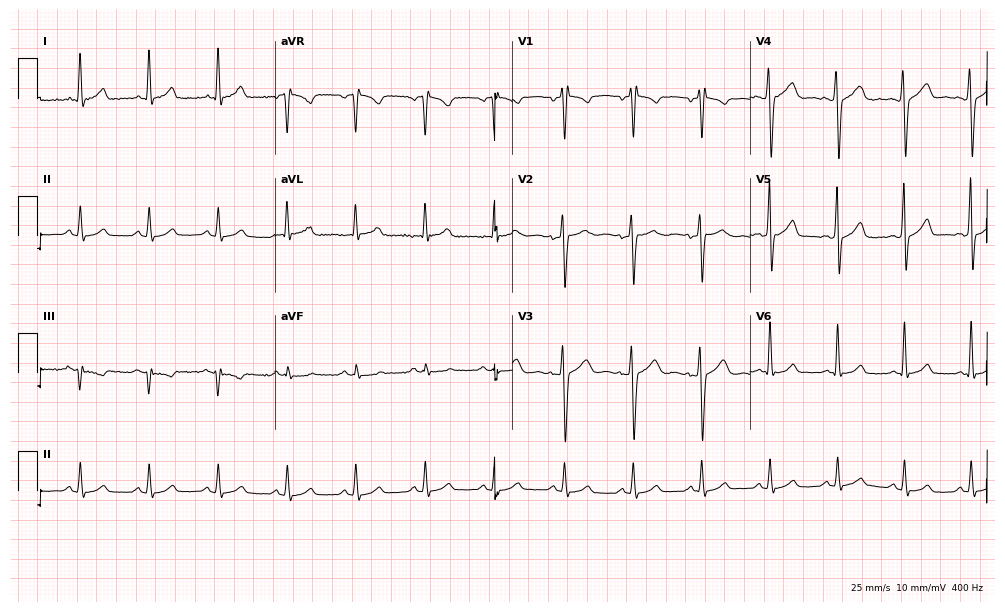
Electrocardiogram, a 41-year-old male patient. Of the six screened findings (first-degree AV block, right bundle branch block, left bundle branch block, sinus bradycardia, atrial fibrillation, sinus tachycardia), none is recorded.